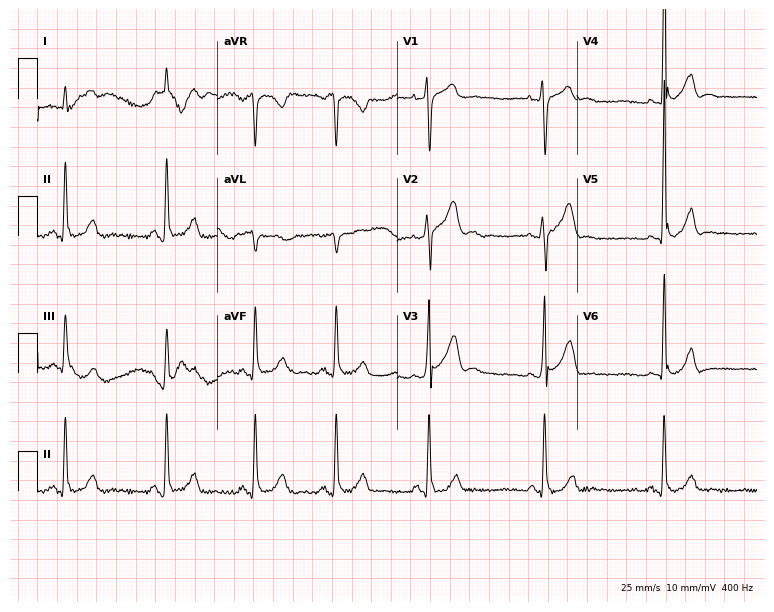
12-lead ECG from a man, 33 years old. Screened for six findings — first-degree AV block, right bundle branch block, left bundle branch block, sinus bradycardia, atrial fibrillation, sinus tachycardia — none is recorded.